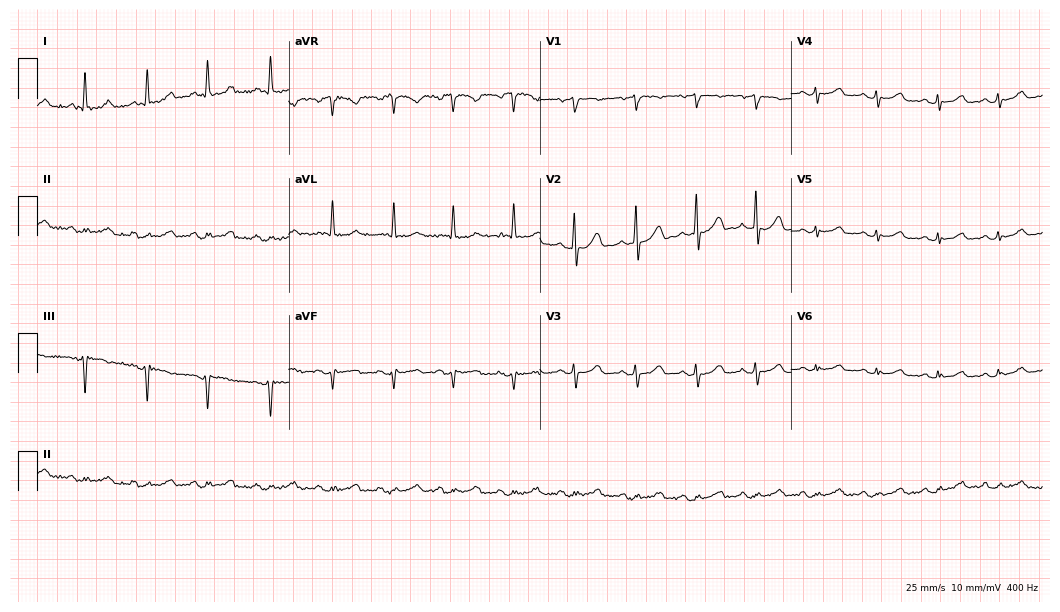
Standard 12-lead ECG recorded from a female, 69 years old (10.2-second recording at 400 Hz). None of these six findings is recorded: first-degree AV block, right bundle branch block (RBBB), left bundle branch block (LBBB), sinus bradycardia, atrial fibrillation (AF), sinus tachycardia. Other findings, if any, are not listed.